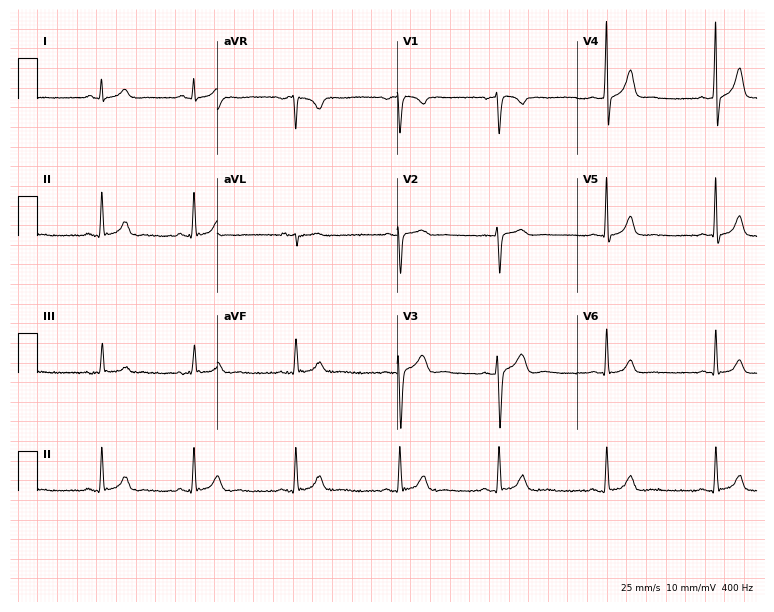
Electrocardiogram (7.3-second recording at 400 Hz), a 29-year-old female patient. Overall reading on record: normal ECG.